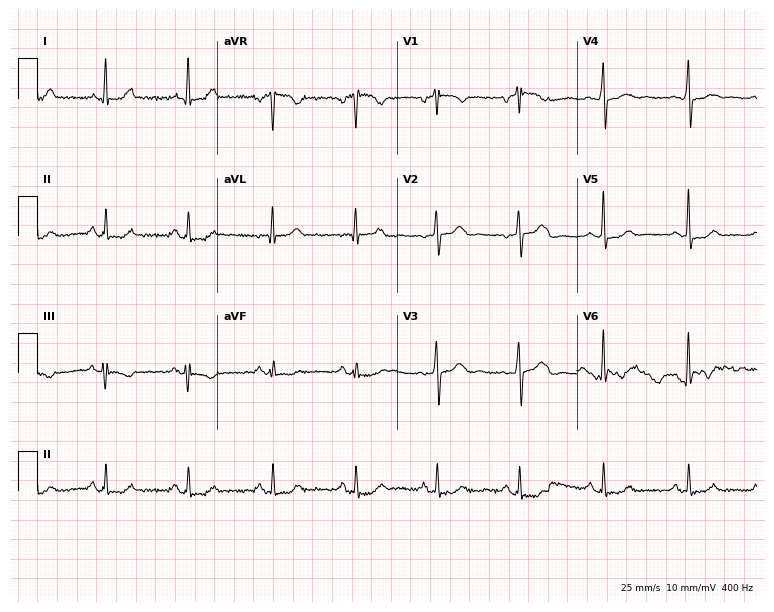
Standard 12-lead ECG recorded from a woman, 54 years old (7.3-second recording at 400 Hz). None of these six findings is recorded: first-degree AV block, right bundle branch block, left bundle branch block, sinus bradycardia, atrial fibrillation, sinus tachycardia.